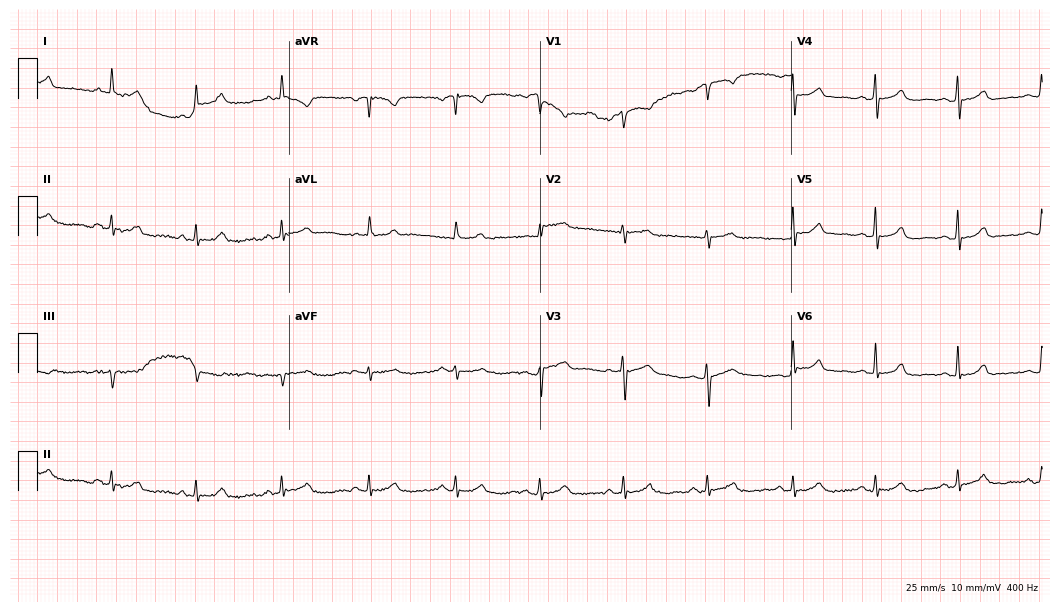
Electrocardiogram, a 52-year-old woman. Overall reading on record: normal ECG.